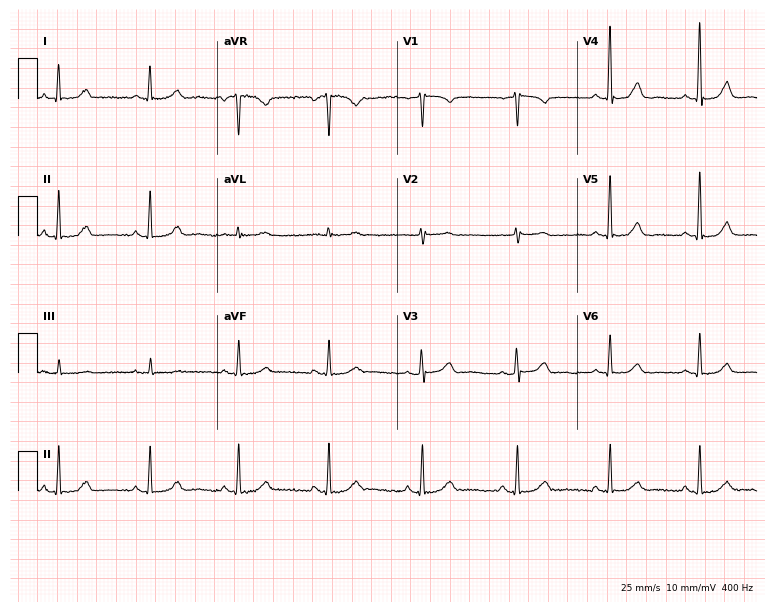
12-lead ECG from a female patient, 55 years old. Labelled as a normal ECG.